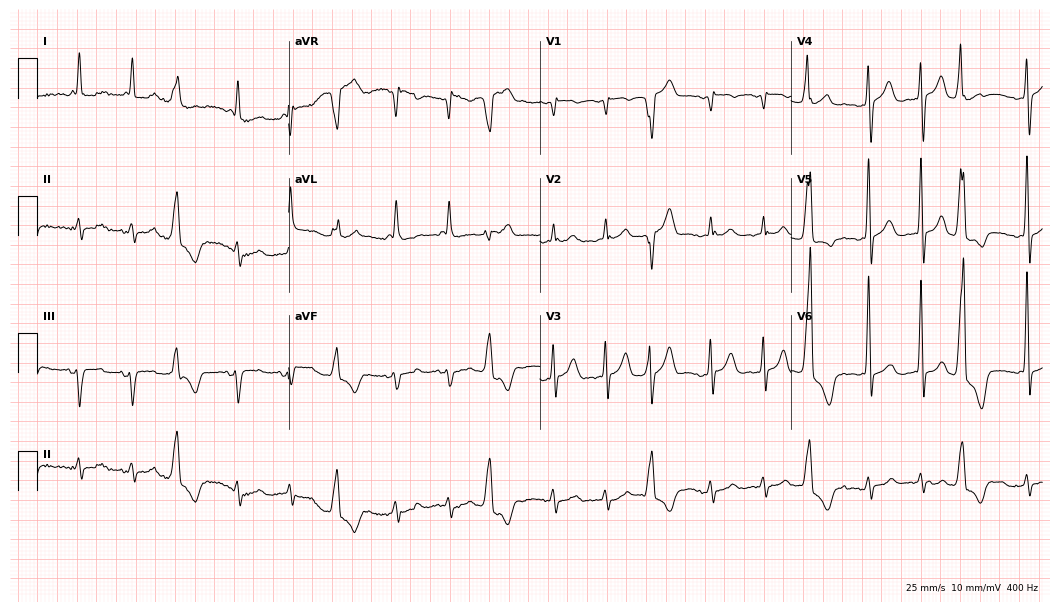
Resting 12-lead electrocardiogram (10.2-second recording at 400 Hz). Patient: a man, 83 years old. The tracing shows sinus tachycardia (a sinus rate of 100 beats per minute or more).